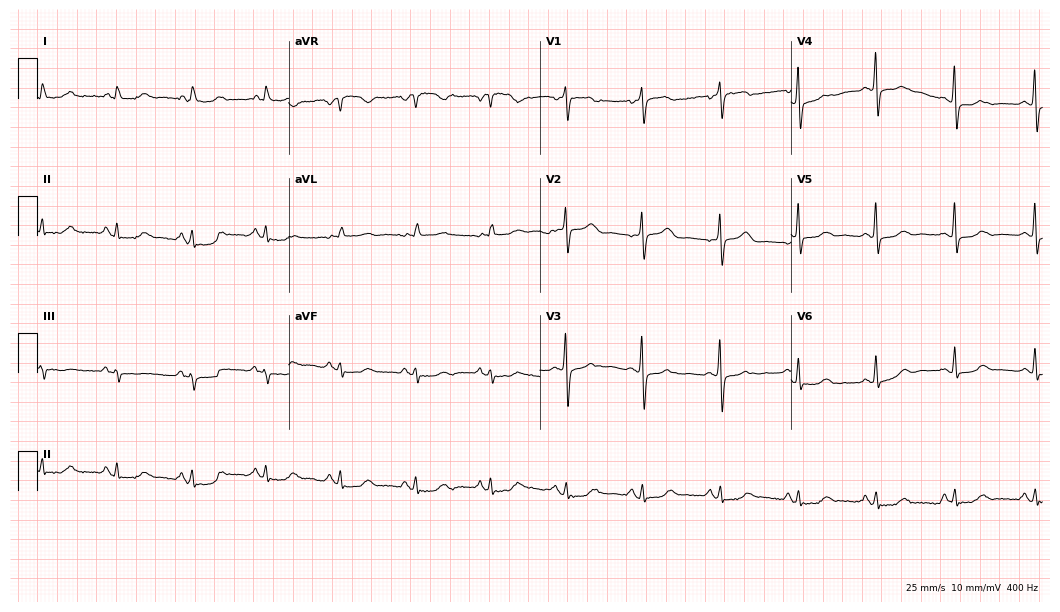
Resting 12-lead electrocardiogram (10.2-second recording at 400 Hz). Patient: a female, 61 years old. None of these six findings is recorded: first-degree AV block, right bundle branch block (RBBB), left bundle branch block (LBBB), sinus bradycardia, atrial fibrillation (AF), sinus tachycardia.